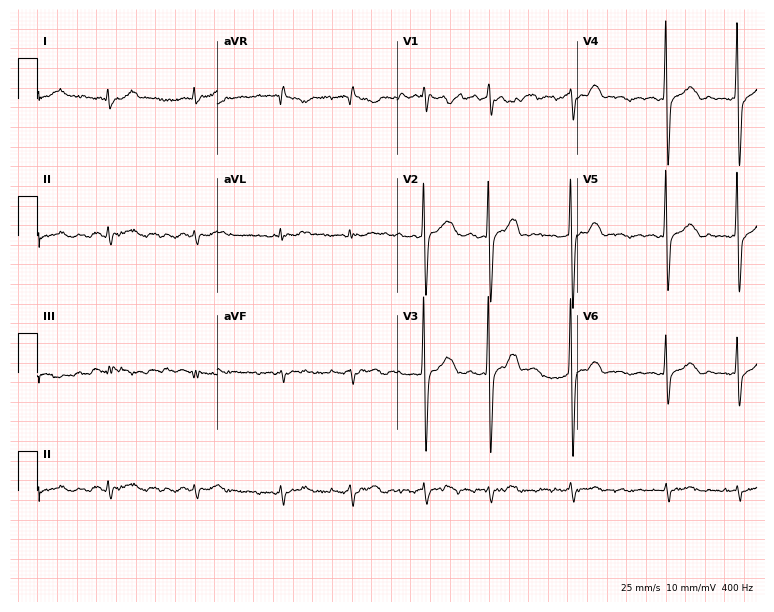
12-lead ECG from a man, 62 years old (7.3-second recording at 400 Hz). Shows atrial fibrillation.